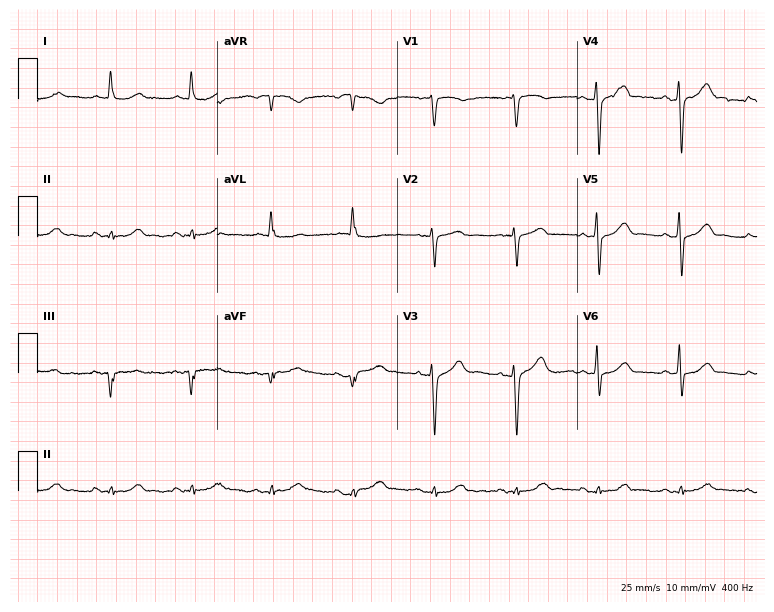
12-lead ECG from an 82-year-old male. No first-degree AV block, right bundle branch block (RBBB), left bundle branch block (LBBB), sinus bradycardia, atrial fibrillation (AF) or sinus tachycardia recorded for this tracing.